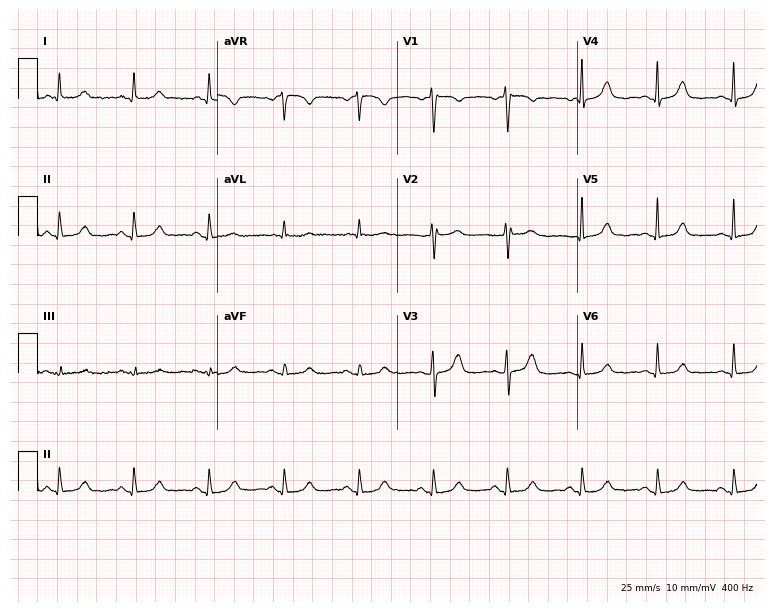
Electrocardiogram, a woman, 74 years old. Overall reading on record: normal ECG.